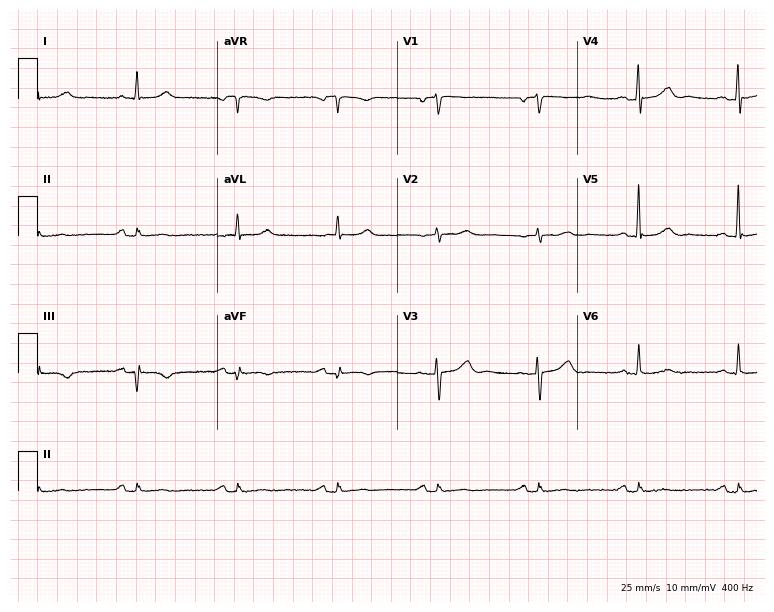
Electrocardiogram (7.3-second recording at 400 Hz), a man, 77 years old. Of the six screened findings (first-degree AV block, right bundle branch block (RBBB), left bundle branch block (LBBB), sinus bradycardia, atrial fibrillation (AF), sinus tachycardia), none is recorded. Other findings, if any, are not listed.